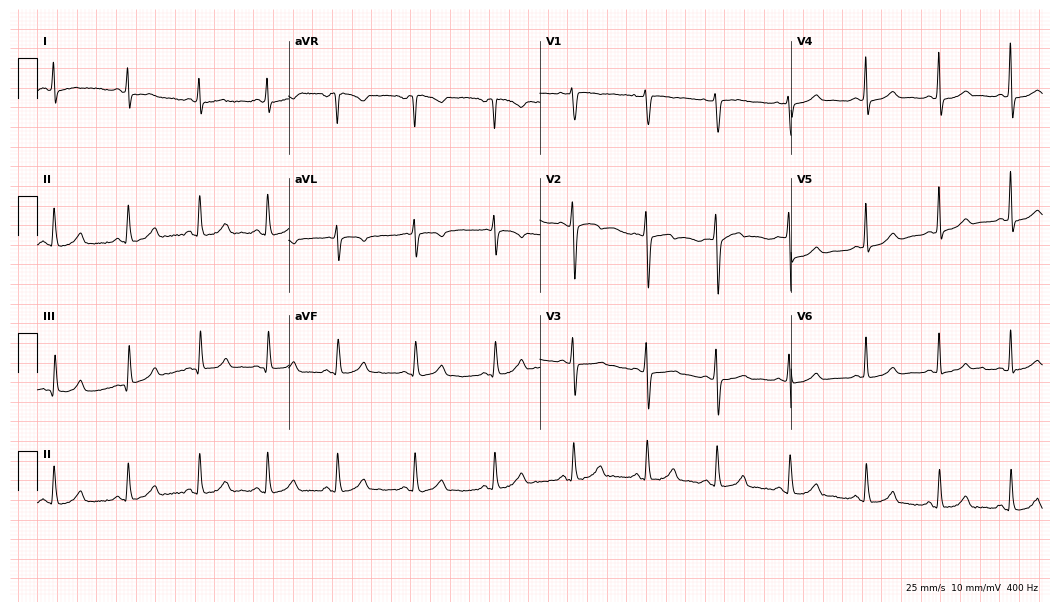
12-lead ECG from a 23-year-old female. No first-degree AV block, right bundle branch block, left bundle branch block, sinus bradycardia, atrial fibrillation or sinus tachycardia recorded for this tracing.